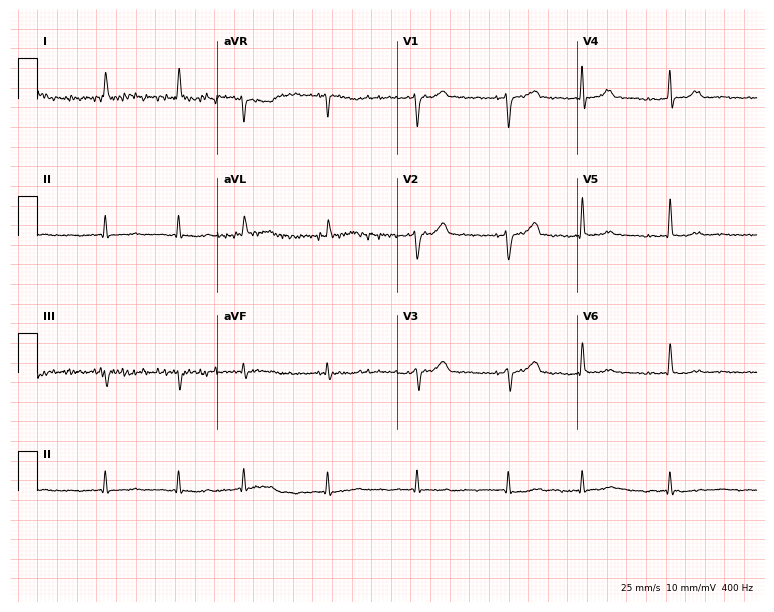
12-lead ECG from a man, 83 years old. Findings include atrial fibrillation.